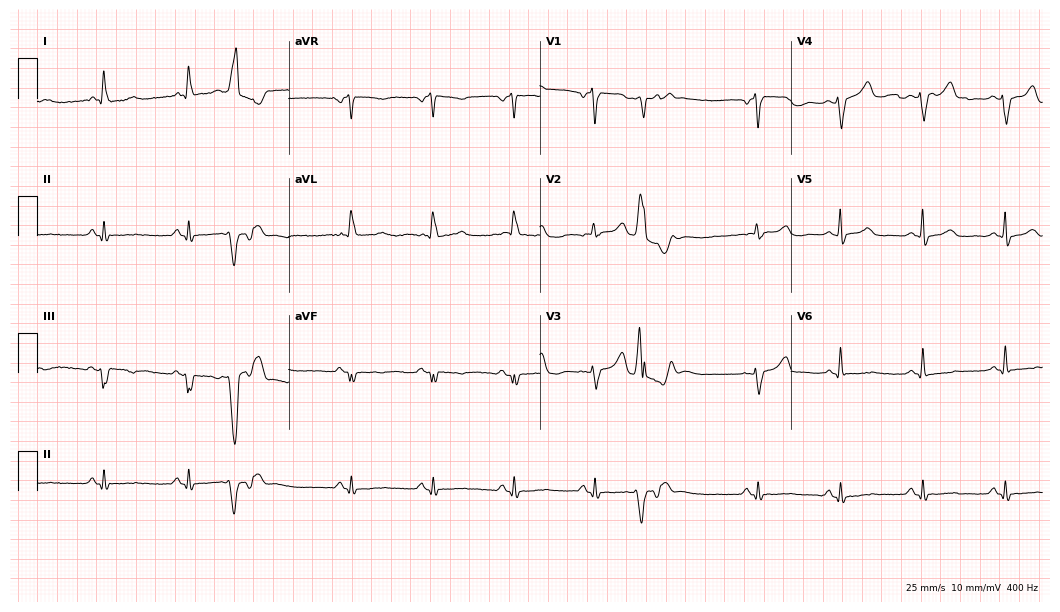
Resting 12-lead electrocardiogram (10.2-second recording at 400 Hz). Patient: a female, 78 years old. None of these six findings is recorded: first-degree AV block, right bundle branch block, left bundle branch block, sinus bradycardia, atrial fibrillation, sinus tachycardia.